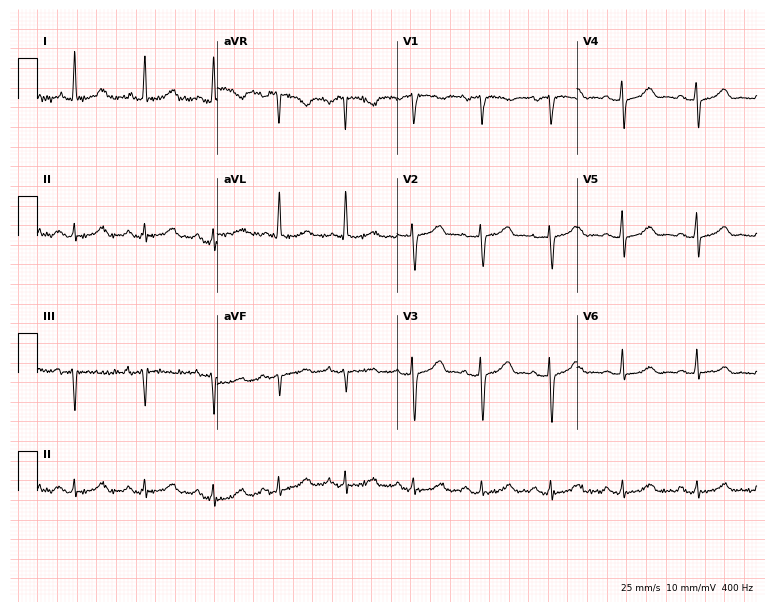
Electrocardiogram, a 47-year-old female. Overall reading on record: normal ECG.